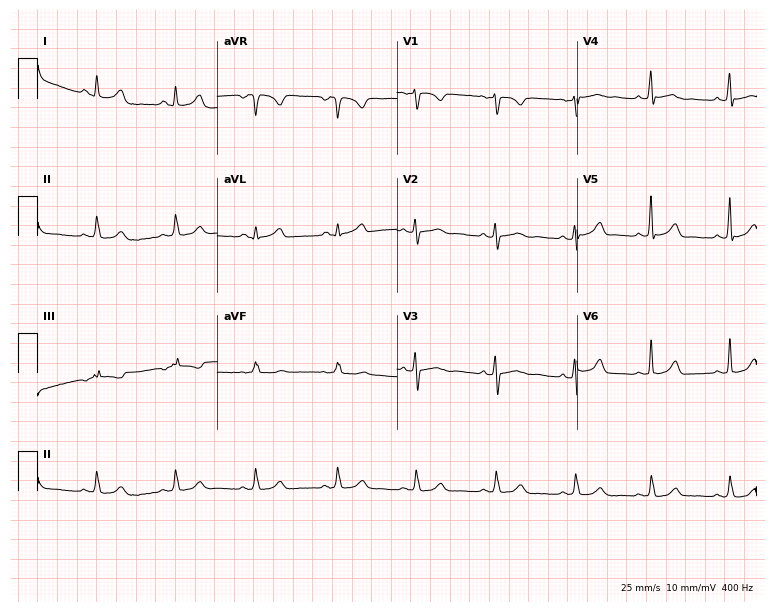
ECG (7.3-second recording at 400 Hz) — a female patient, 18 years old. Screened for six findings — first-degree AV block, right bundle branch block, left bundle branch block, sinus bradycardia, atrial fibrillation, sinus tachycardia — none is recorded. Only these six findings were labelled.